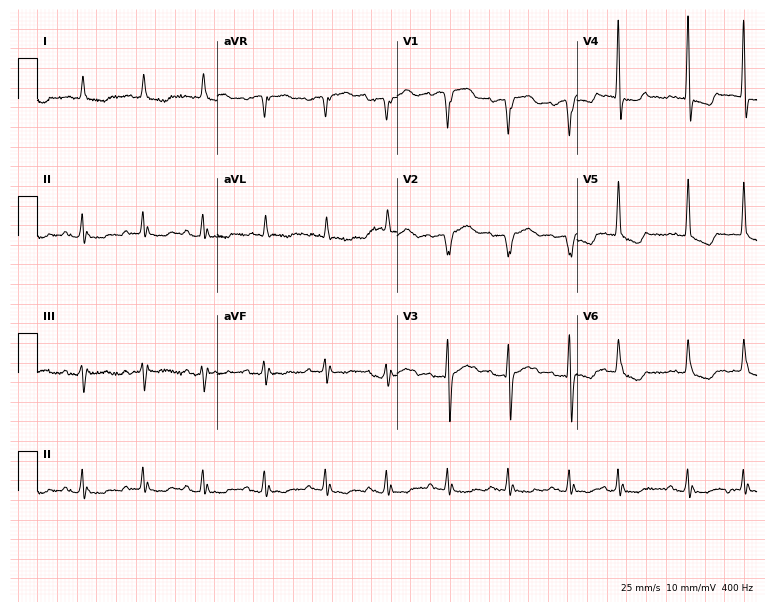
12-lead ECG from an 84-year-old male patient (7.3-second recording at 400 Hz). No first-degree AV block, right bundle branch block, left bundle branch block, sinus bradycardia, atrial fibrillation or sinus tachycardia recorded for this tracing. Only these six findings were labelled.